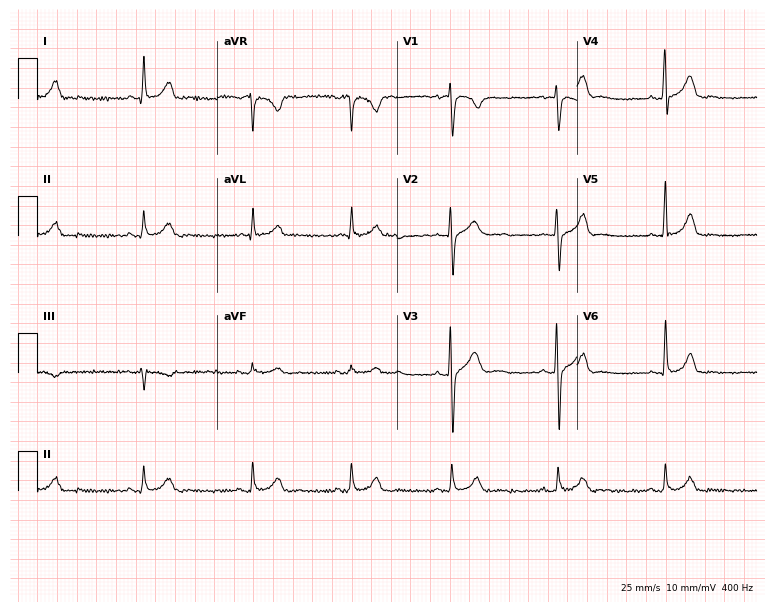
Resting 12-lead electrocardiogram (7.3-second recording at 400 Hz). Patient: a man, 19 years old. Read as a normal ECG.